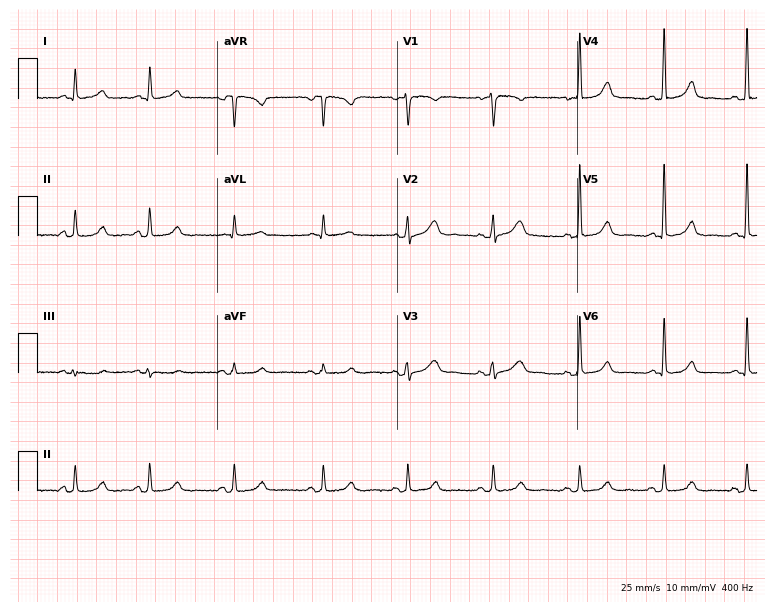
Resting 12-lead electrocardiogram (7.3-second recording at 400 Hz). Patient: a female, 46 years old. Read as a normal ECG.